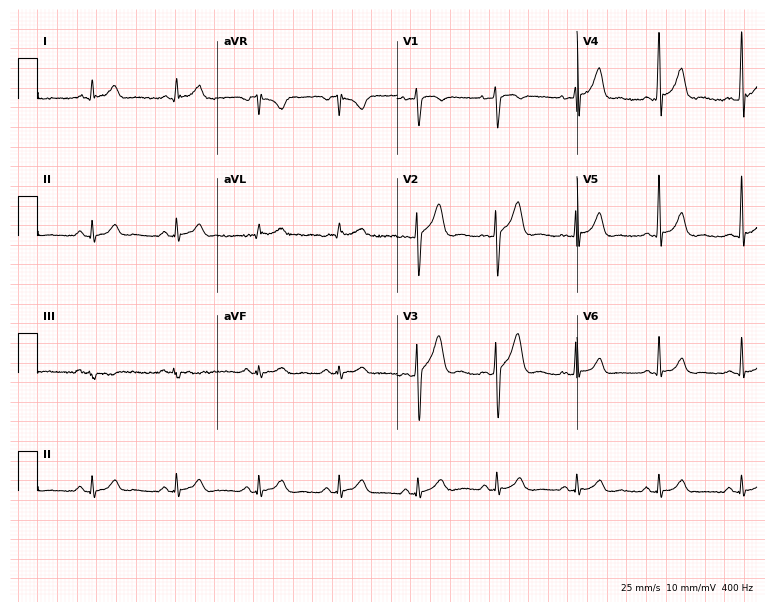
12-lead ECG from a 23-year-old male patient. Labelled as a normal ECG.